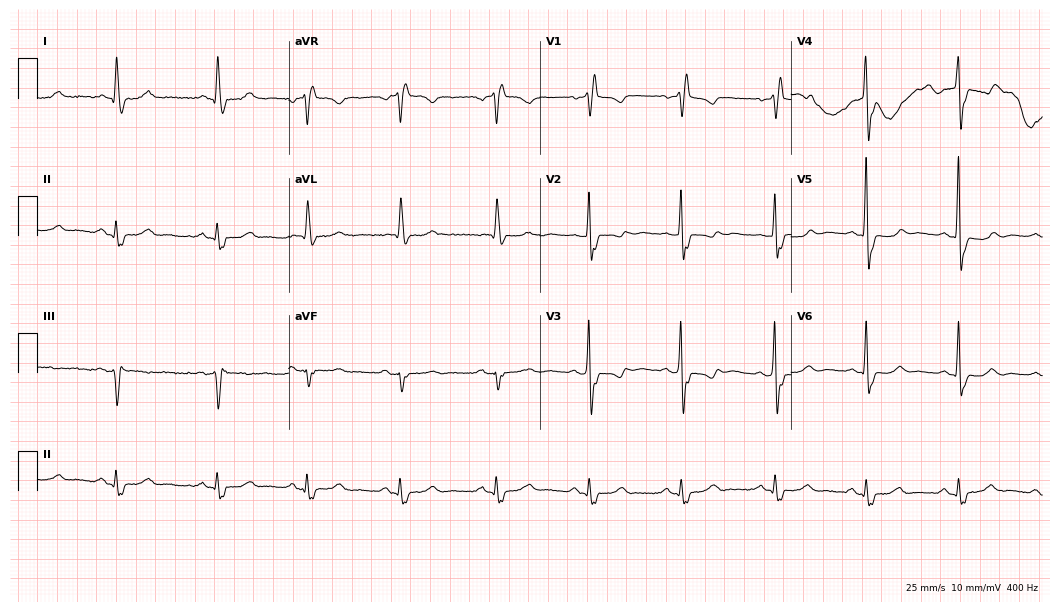
ECG — a female, 75 years old. Findings include right bundle branch block (RBBB).